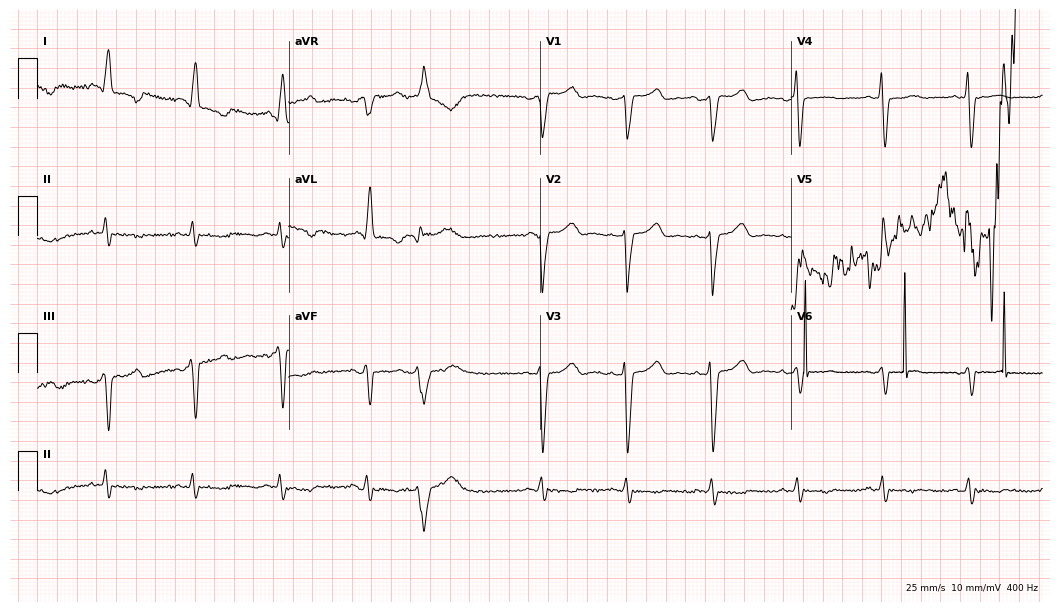
Electrocardiogram (10.2-second recording at 400 Hz), a 66-year-old female patient. Of the six screened findings (first-degree AV block, right bundle branch block, left bundle branch block, sinus bradycardia, atrial fibrillation, sinus tachycardia), none is recorded. Other findings, if any, are not listed.